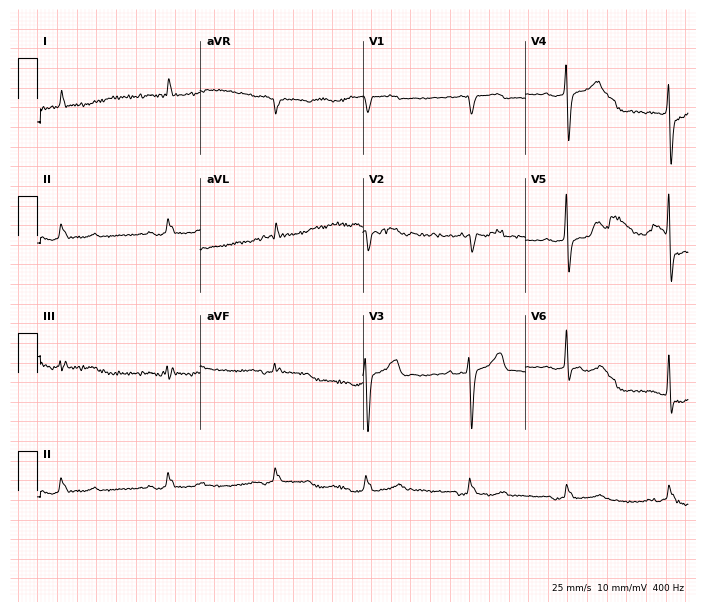
ECG — a woman, 79 years old. Findings include first-degree AV block.